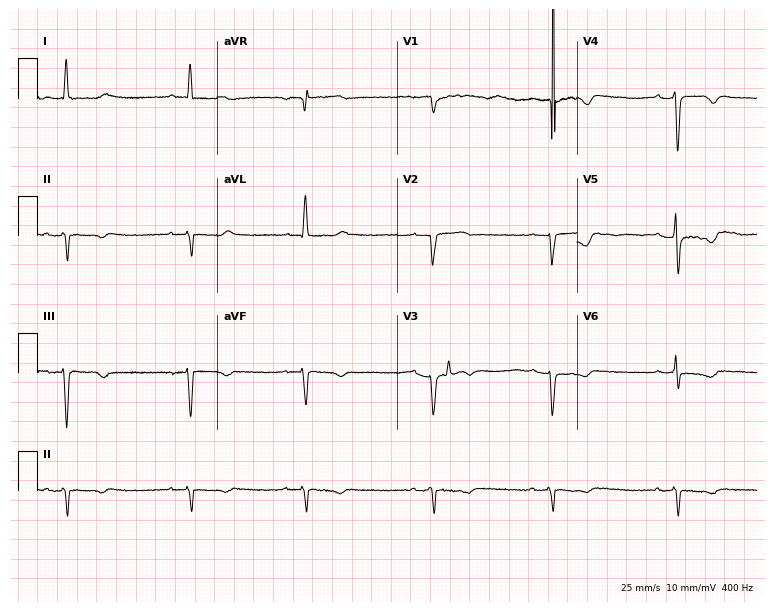
ECG (7.3-second recording at 400 Hz) — an 80-year-old female. Findings include sinus bradycardia (a sinus rate of 50 beats per minute or less).